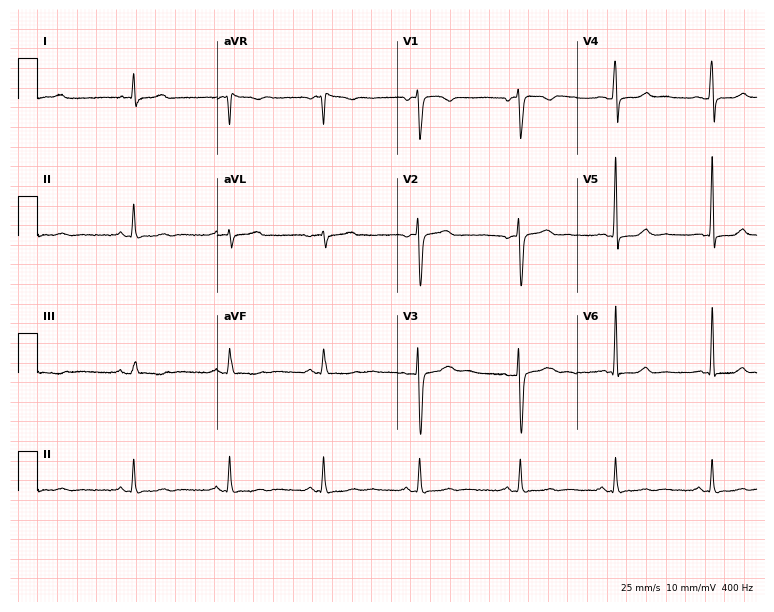
ECG (7.3-second recording at 400 Hz) — a 58-year-old female. Screened for six findings — first-degree AV block, right bundle branch block (RBBB), left bundle branch block (LBBB), sinus bradycardia, atrial fibrillation (AF), sinus tachycardia — none is recorded. Only these six findings were labelled.